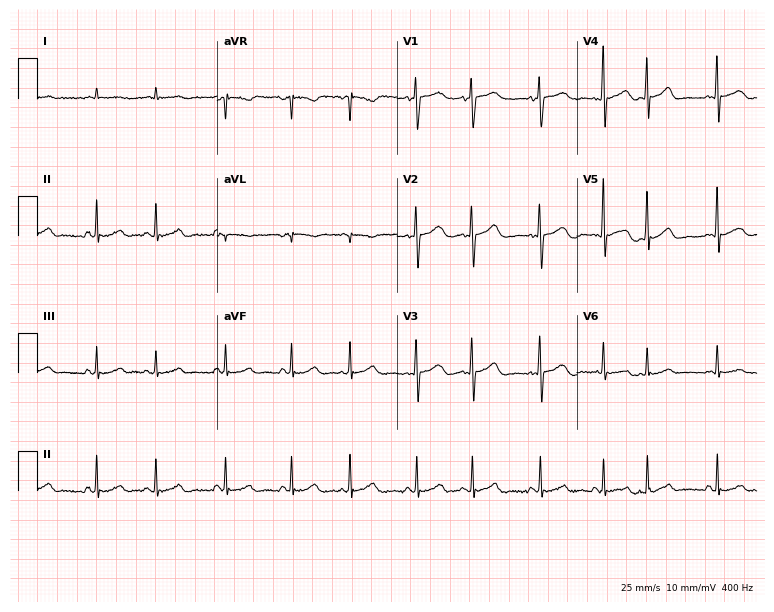
ECG (7.3-second recording at 400 Hz) — a 79-year-old male. Screened for six findings — first-degree AV block, right bundle branch block, left bundle branch block, sinus bradycardia, atrial fibrillation, sinus tachycardia — none is recorded.